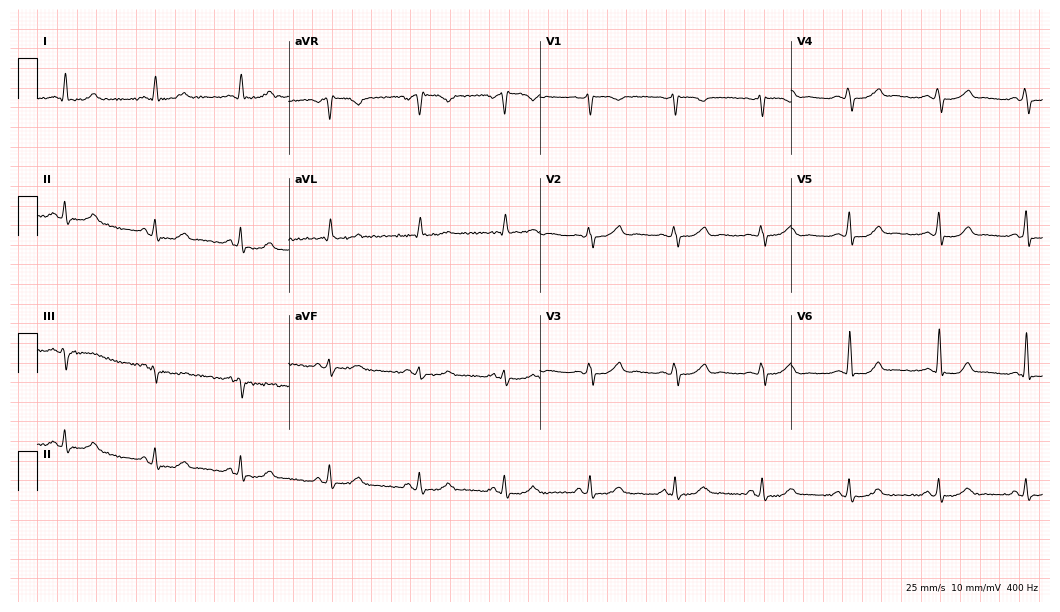
ECG — a 47-year-old woman. Labelled as a normal ECG.